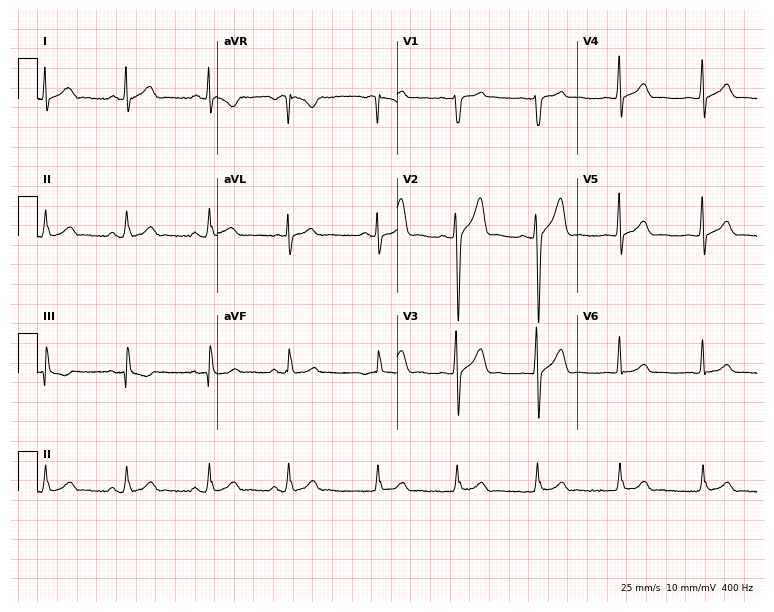
Standard 12-lead ECG recorded from a male, 35 years old (7.3-second recording at 400 Hz). None of these six findings is recorded: first-degree AV block, right bundle branch block (RBBB), left bundle branch block (LBBB), sinus bradycardia, atrial fibrillation (AF), sinus tachycardia.